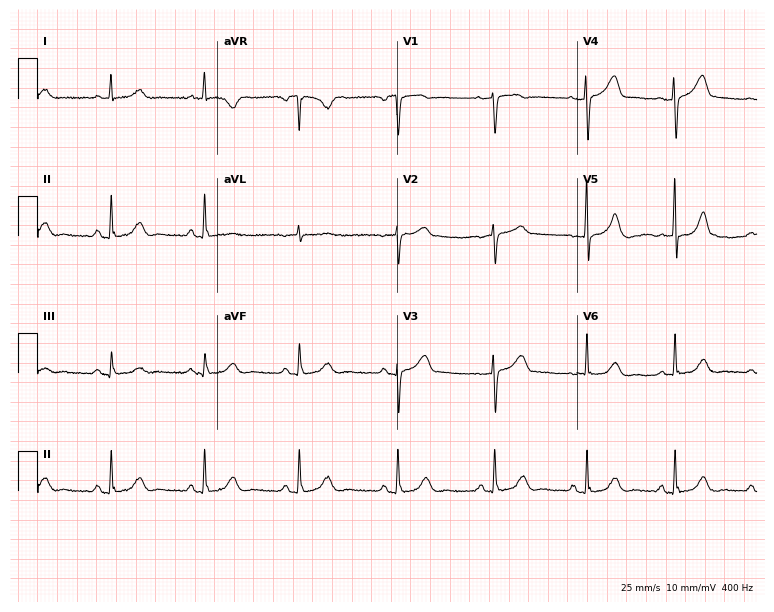
12-lead ECG from a female, 61 years old. No first-degree AV block, right bundle branch block (RBBB), left bundle branch block (LBBB), sinus bradycardia, atrial fibrillation (AF) or sinus tachycardia recorded for this tracing.